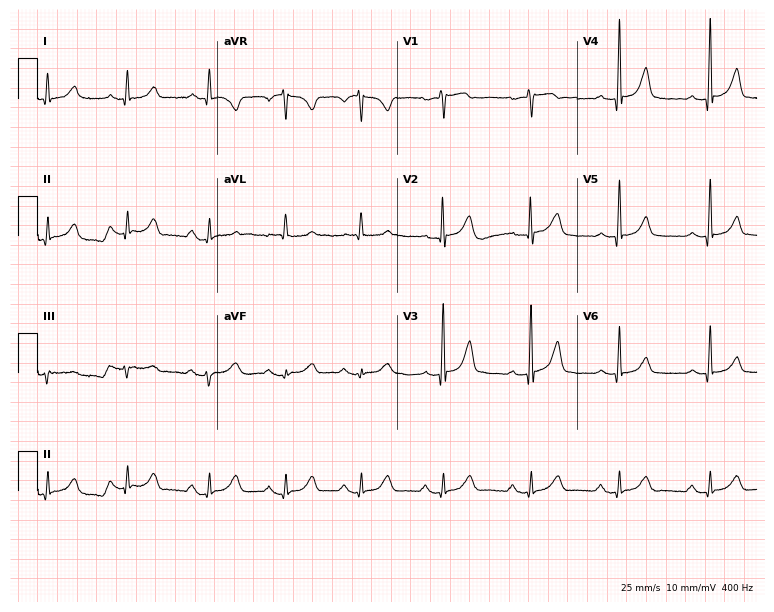
12-lead ECG (7.3-second recording at 400 Hz) from a woman, 60 years old. Screened for six findings — first-degree AV block, right bundle branch block, left bundle branch block, sinus bradycardia, atrial fibrillation, sinus tachycardia — none is recorded.